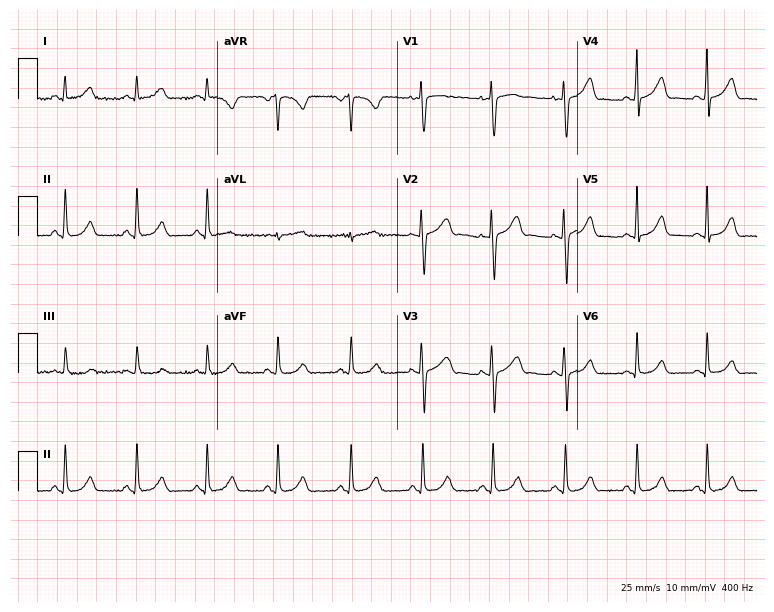
12-lead ECG (7.3-second recording at 400 Hz) from a female patient, 32 years old. Labelled as a normal ECG.